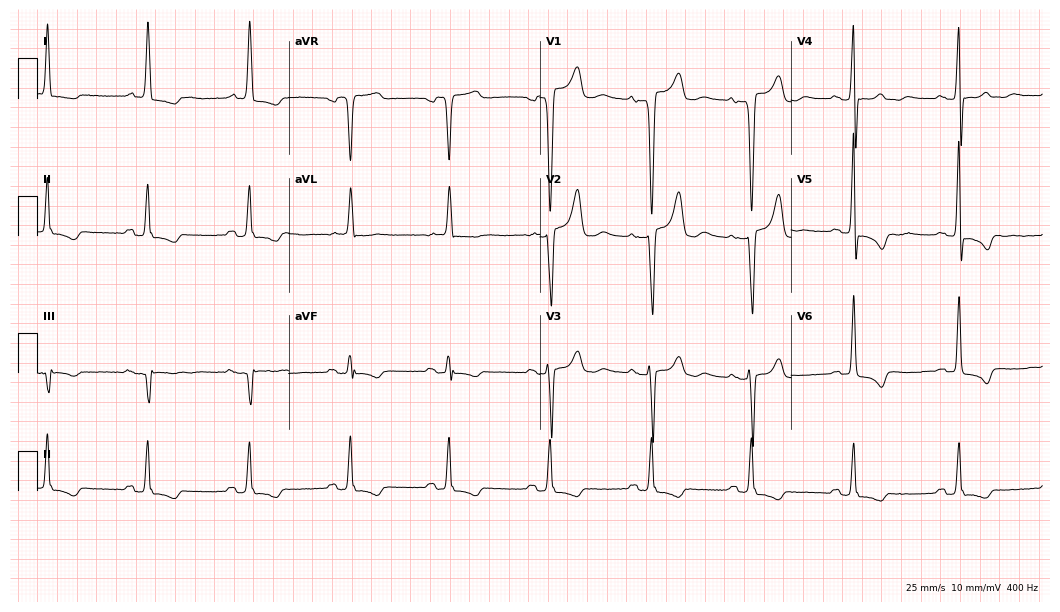
Resting 12-lead electrocardiogram (10.2-second recording at 400 Hz). Patient: an 84-year-old woman. None of these six findings is recorded: first-degree AV block, right bundle branch block, left bundle branch block, sinus bradycardia, atrial fibrillation, sinus tachycardia.